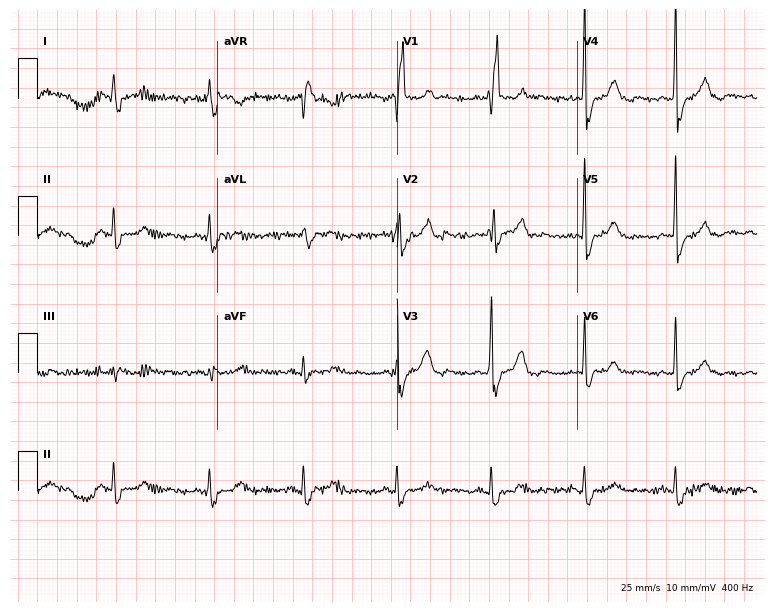
12-lead ECG from a 79-year-old man (7.3-second recording at 400 Hz). Shows right bundle branch block.